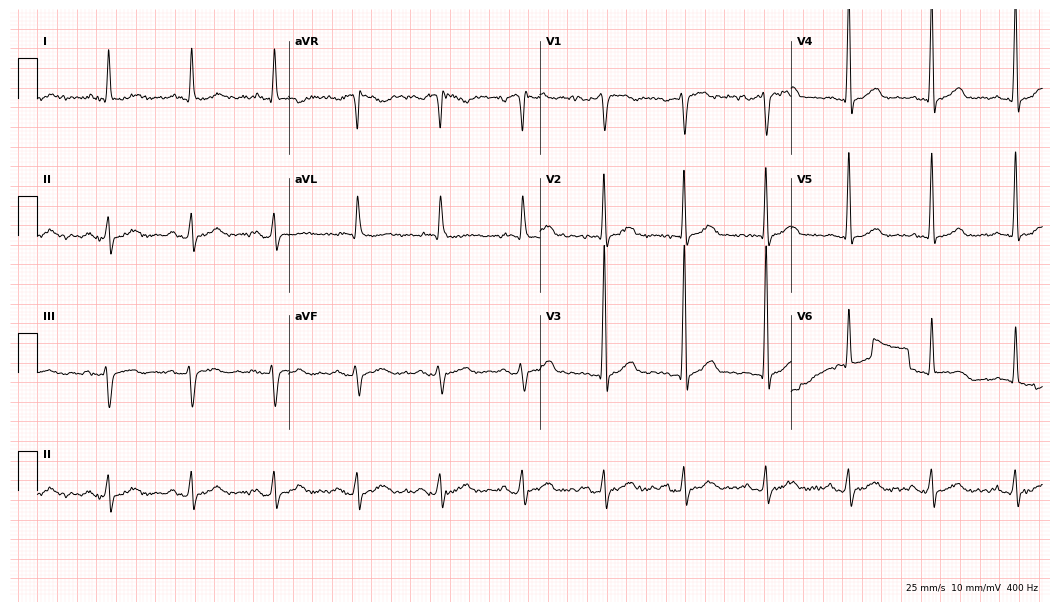
12-lead ECG (10.2-second recording at 400 Hz) from a 68-year-old male. Screened for six findings — first-degree AV block, right bundle branch block, left bundle branch block, sinus bradycardia, atrial fibrillation, sinus tachycardia — none is recorded.